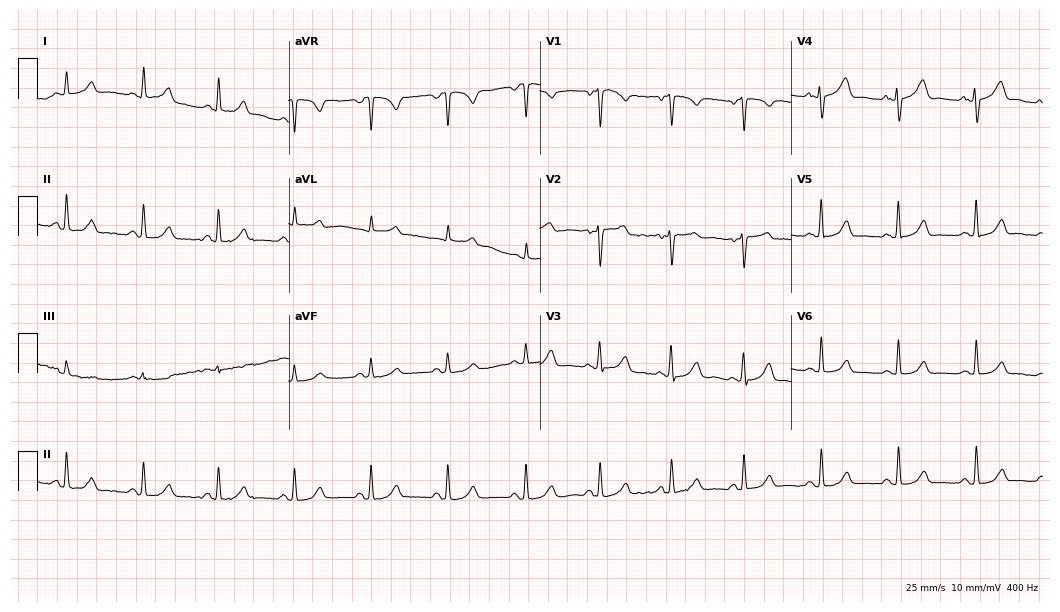
Resting 12-lead electrocardiogram (10.2-second recording at 400 Hz). Patient: a female, 38 years old. Read as a normal ECG.